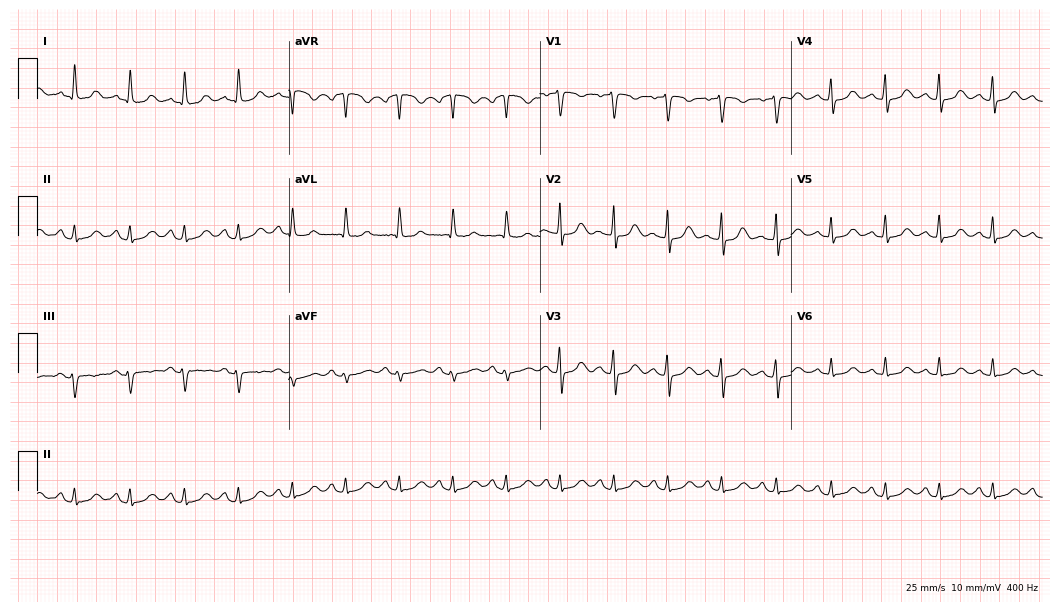
12-lead ECG from a 61-year-old woman (10.2-second recording at 400 Hz). Shows sinus tachycardia (a sinus rate of 100 beats per minute or more).